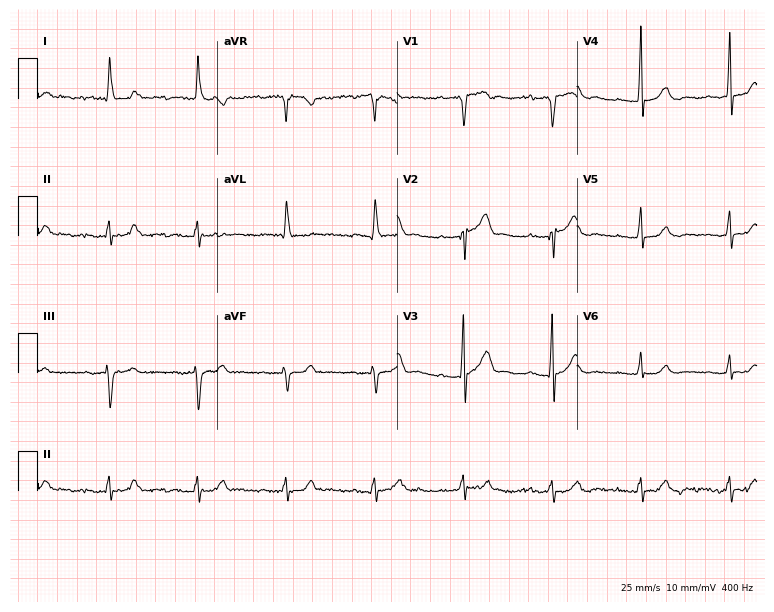
12-lead ECG from a 72-year-old male patient. Screened for six findings — first-degree AV block, right bundle branch block, left bundle branch block, sinus bradycardia, atrial fibrillation, sinus tachycardia — none is recorded.